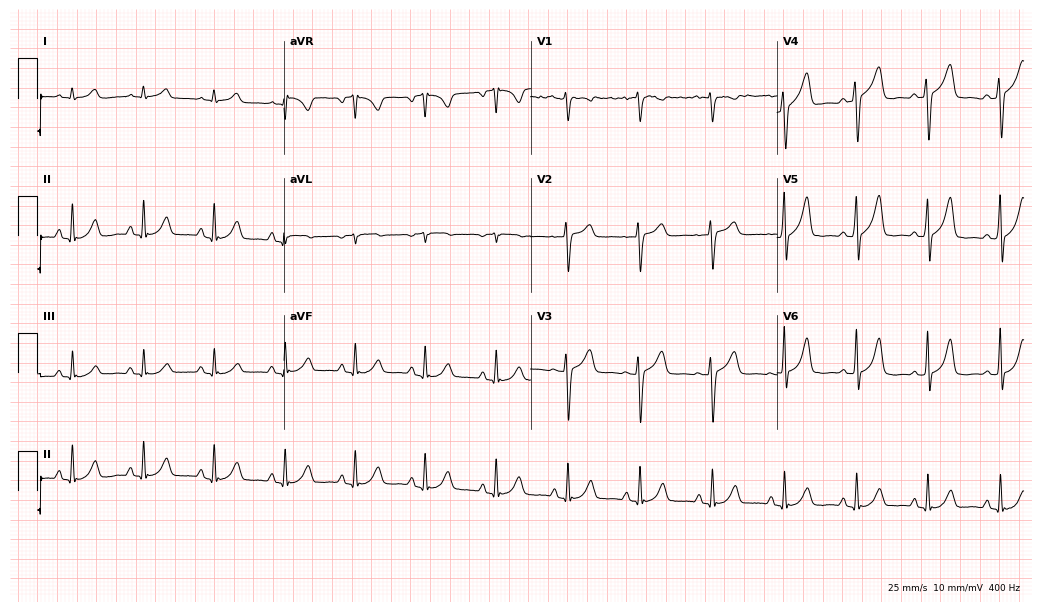
12-lead ECG from a 45-year-old woman (10.1-second recording at 400 Hz). Recorded interpretation: within normal limits.